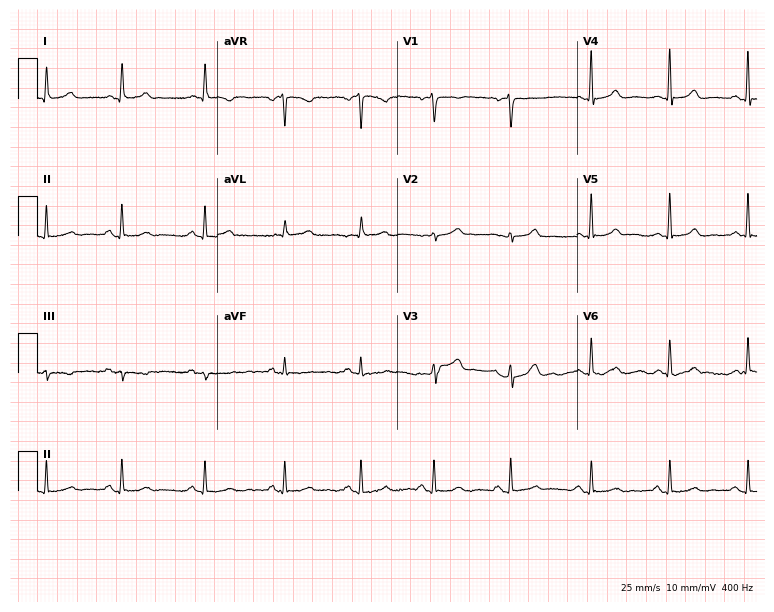
Electrocardiogram (7.3-second recording at 400 Hz), a 34-year-old woman. Of the six screened findings (first-degree AV block, right bundle branch block, left bundle branch block, sinus bradycardia, atrial fibrillation, sinus tachycardia), none is recorded.